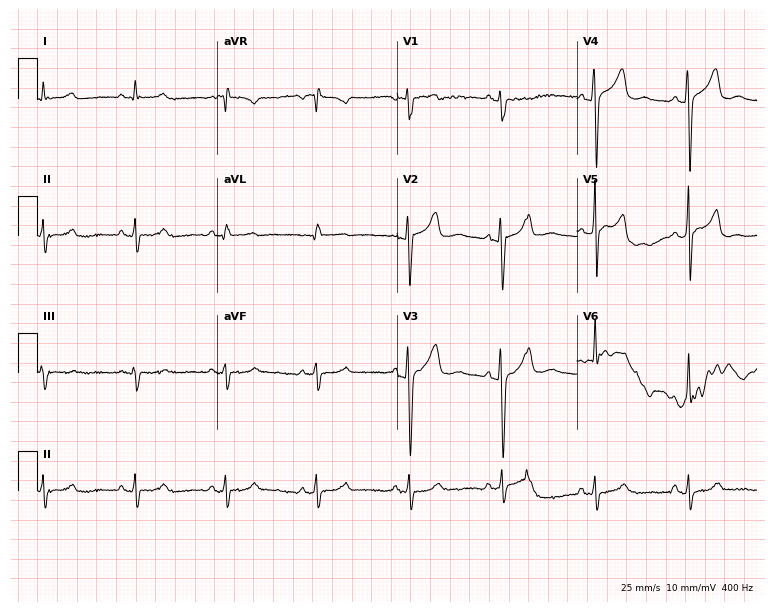
Resting 12-lead electrocardiogram. Patient: a male, 37 years old. None of these six findings is recorded: first-degree AV block, right bundle branch block, left bundle branch block, sinus bradycardia, atrial fibrillation, sinus tachycardia. Findings outside these six are not listed.